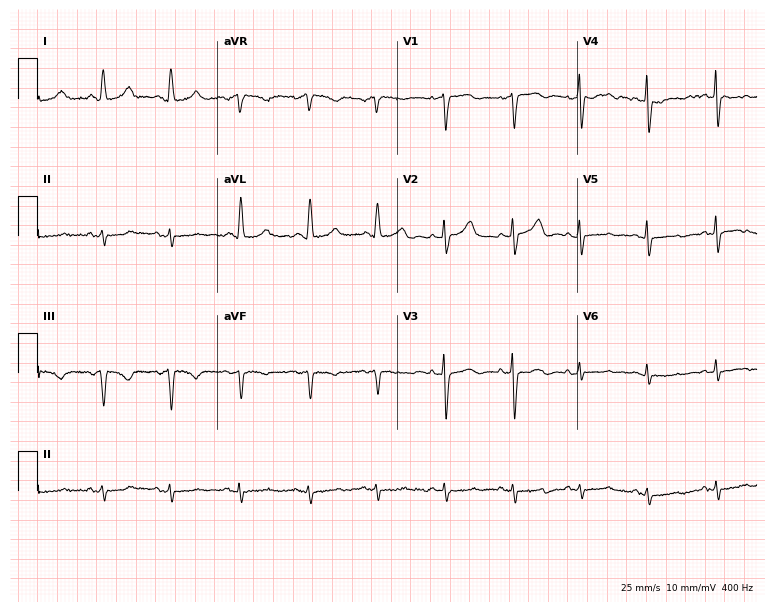
Resting 12-lead electrocardiogram (7.3-second recording at 400 Hz). Patient: a 70-year-old woman. Read as a normal ECG.